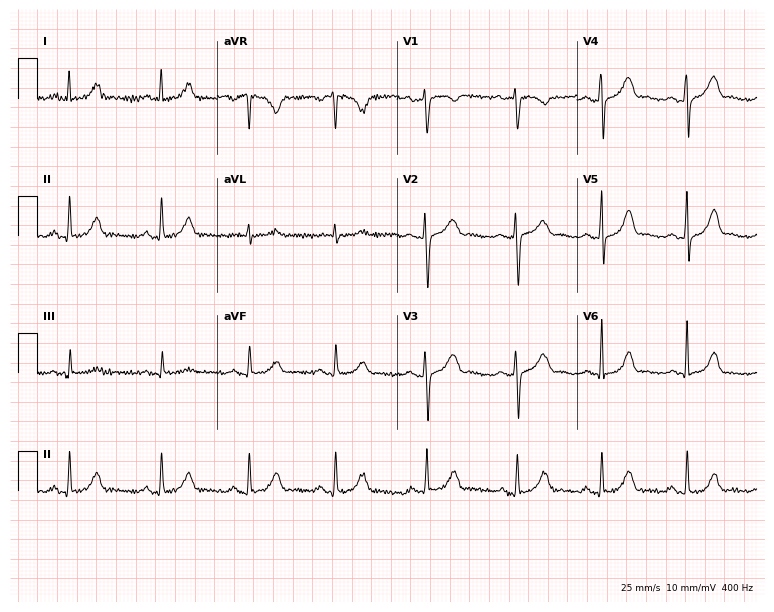
Resting 12-lead electrocardiogram (7.3-second recording at 400 Hz). Patient: a female, 35 years old. Read as a normal ECG.